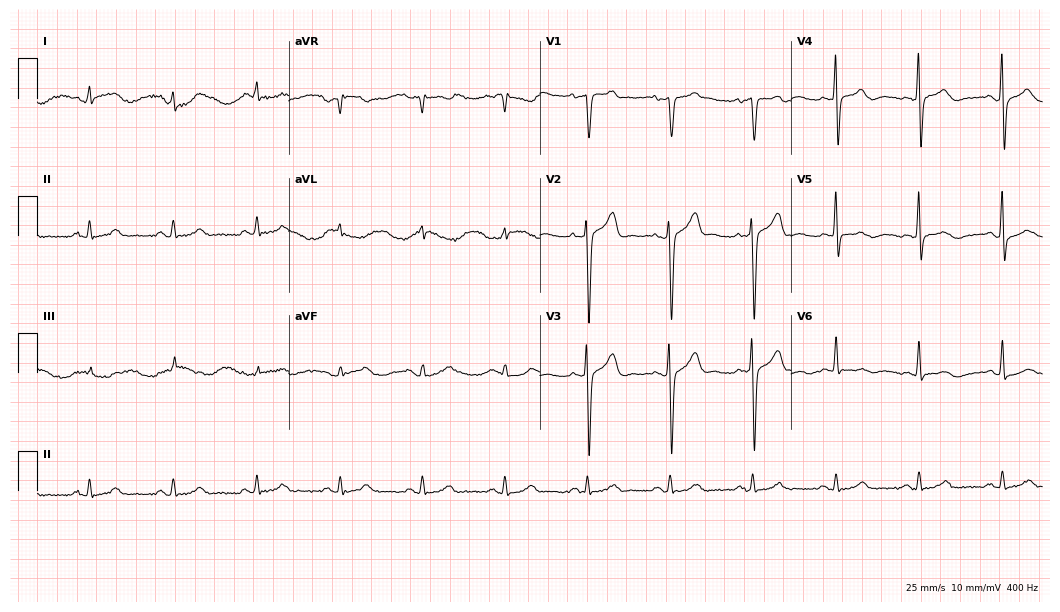
Standard 12-lead ECG recorded from an 82-year-old woman (10.2-second recording at 400 Hz). Read as a normal ECG.